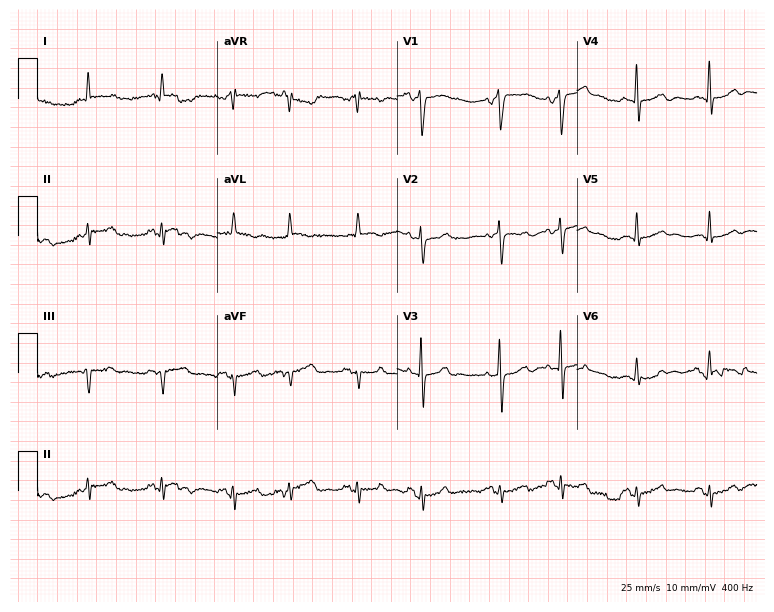
12-lead ECG from a woman, 78 years old. No first-degree AV block, right bundle branch block, left bundle branch block, sinus bradycardia, atrial fibrillation or sinus tachycardia recorded for this tracing. Other findings, if any, are not listed.